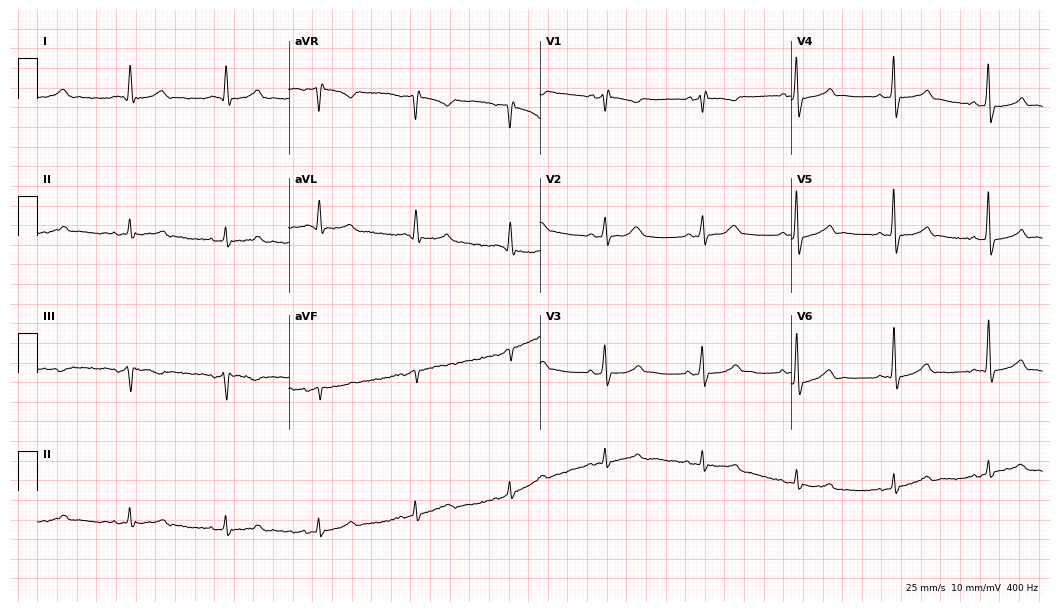
12-lead ECG (10.2-second recording at 400 Hz) from a 73-year-old male patient. Screened for six findings — first-degree AV block, right bundle branch block (RBBB), left bundle branch block (LBBB), sinus bradycardia, atrial fibrillation (AF), sinus tachycardia — none is recorded.